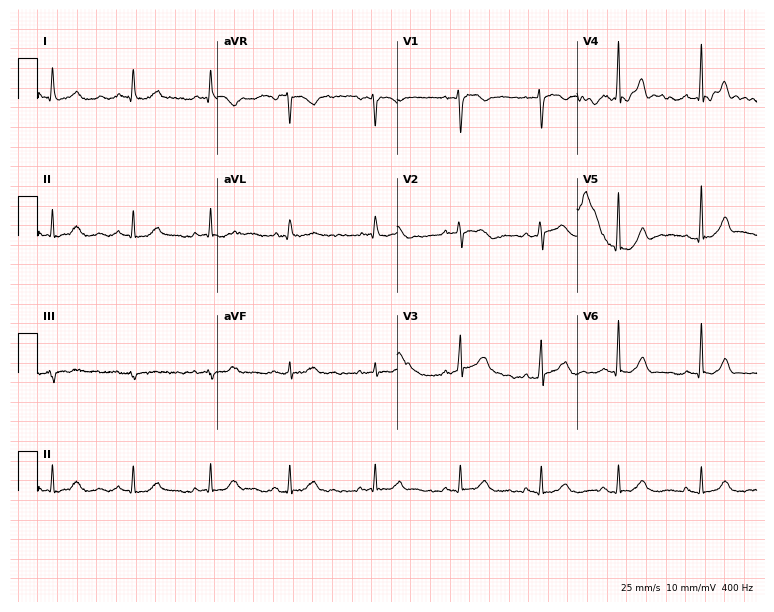
12-lead ECG from a female patient, 43 years old. Recorded interpretation: within normal limits.